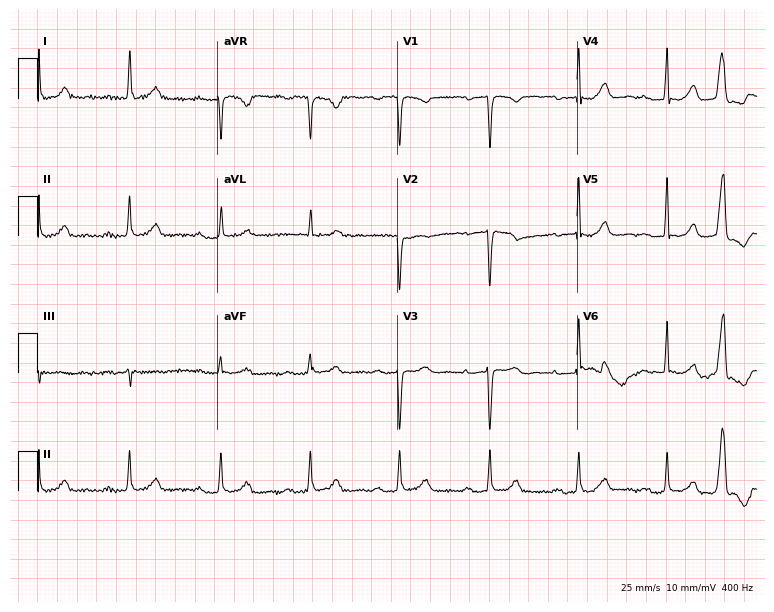
12-lead ECG from a 66-year-old woman. No first-degree AV block, right bundle branch block (RBBB), left bundle branch block (LBBB), sinus bradycardia, atrial fibrillation (AF) or sinus tachycardia recorded for this tracing.